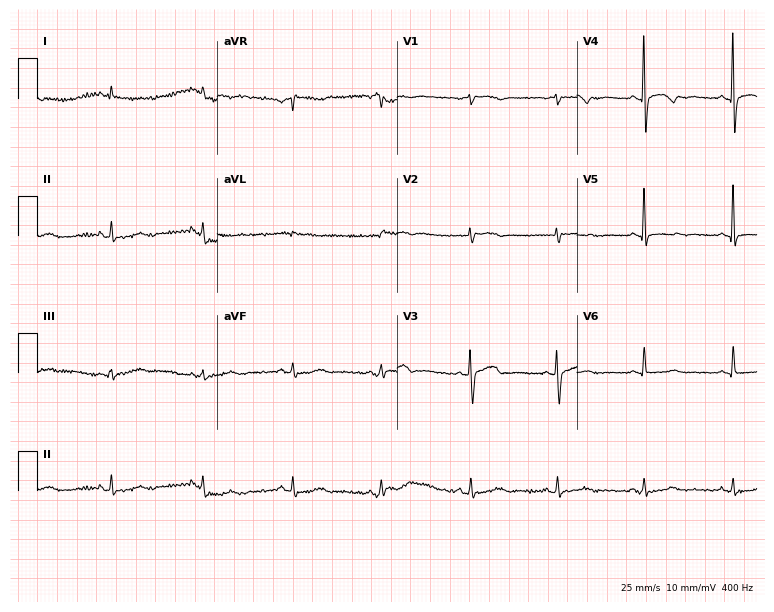
Standard 12-lead ECG recorded from a 61-year-old female. None of these six findings is recorded: first-degree AV block, right bundle branch block, left bundle branch block, sinus bradycardia, atrial fibrillation, sinus tachycardia.